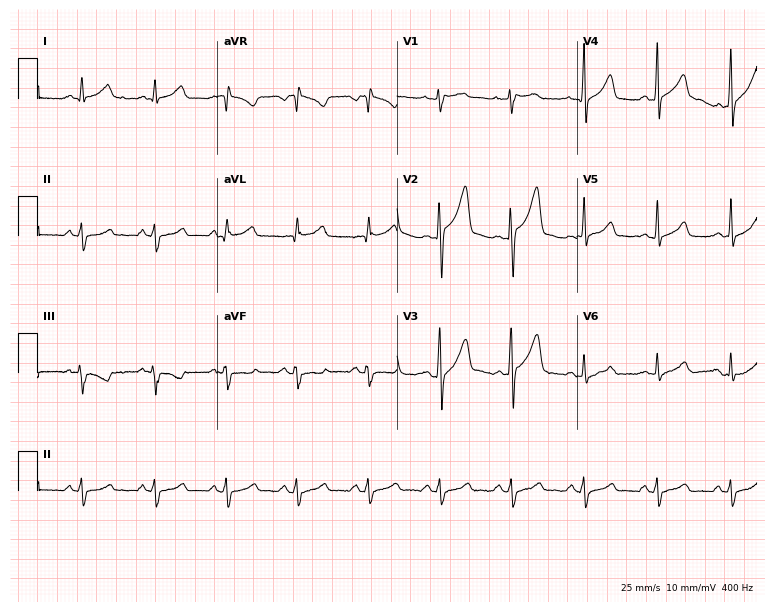
ECG (7.3-second recording at 400 Hz) — a man, 31 years old. Labelled as a normal ECG.